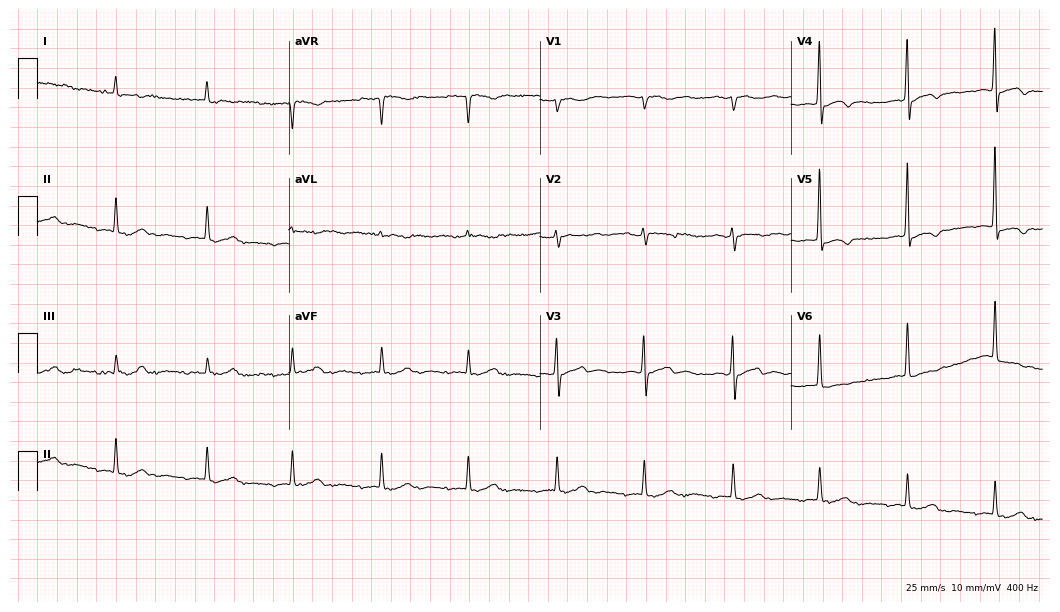
Standard 12-lead ECG recorded from a 78-year-old female patient (10.2-second recording at 400 Hz). None of these six findings is recorded: first-degree AV block, right bundle branch block, left bundle branch block, sinus bradycardia, atrial fibrillation, sinus tachycardia.